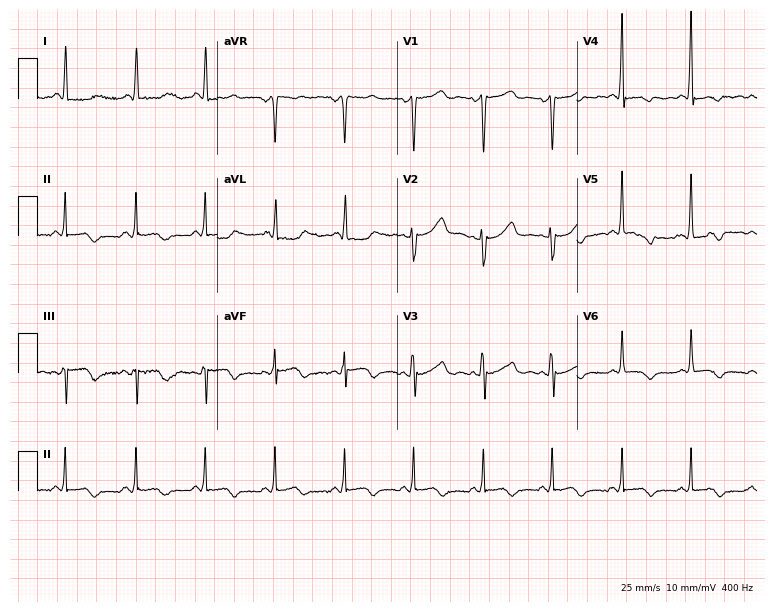
ECG (7.3-second recording at 400 Hz) — a woman, 64 years old. Screened for six findings — first-degree AV block, right bundle branch block, left bundle branch block, sinus bradycardia, atrial fibrillation, sinus tachycardia — none is recorded. Other findings, if any, are not listed.